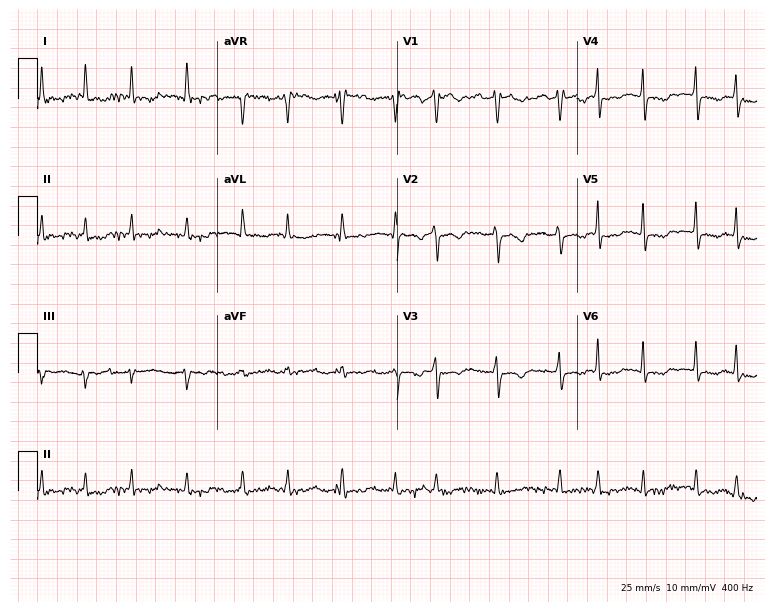
Electrocardiogram (7.3-second recording at 400 Hz), a 68-year-old female. Interpretation includes atrial fibrillation (AF).